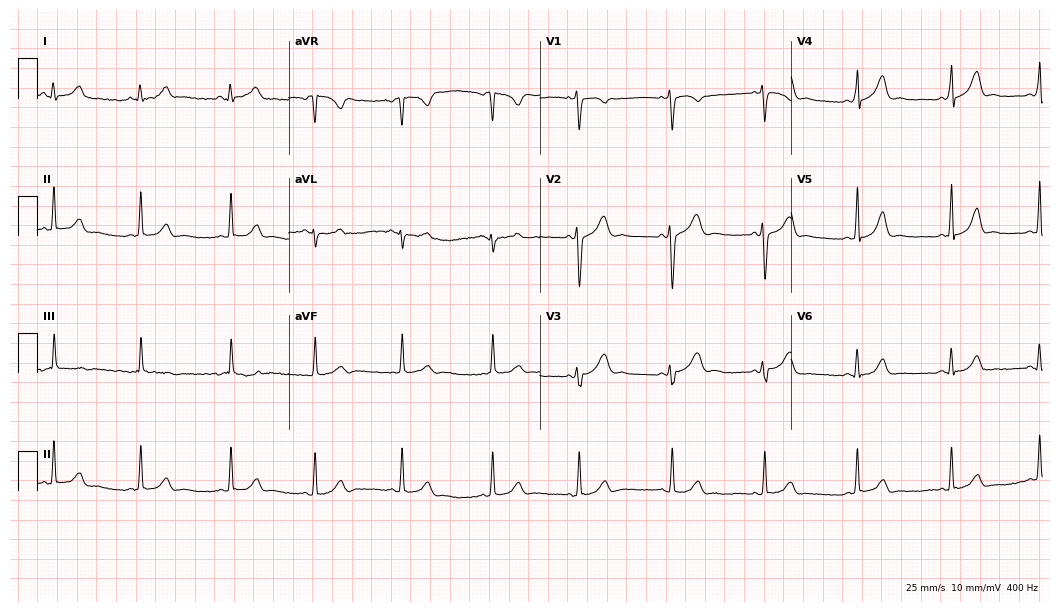
12-lead ECG (10.2-second recording at 400 Hz) from a woman, 17 years old. Labelled as a normal ECG.